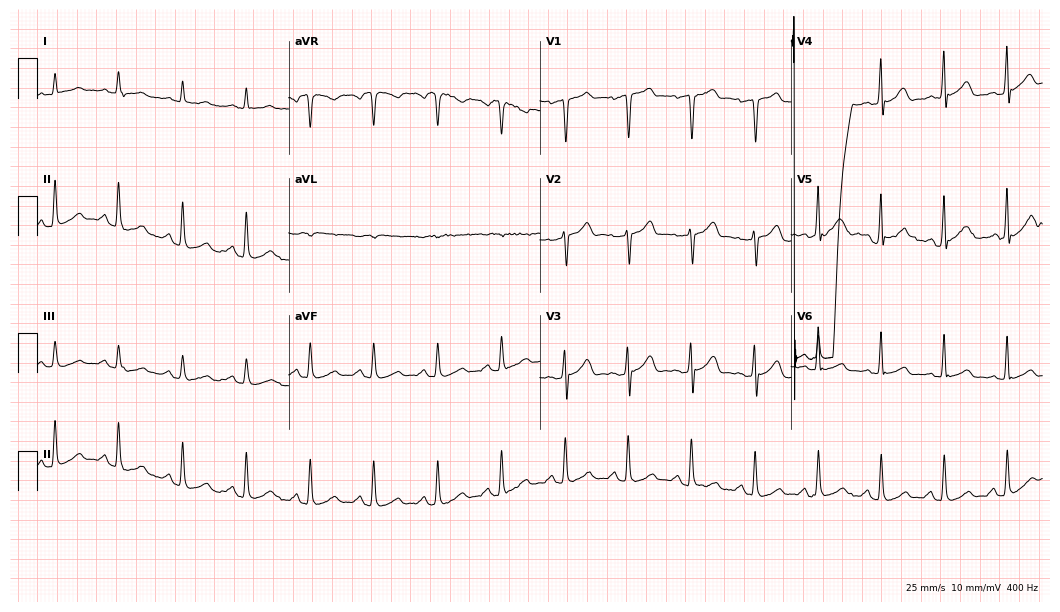
12-lead ECG (10.2-second recording at 400 Hz) from a man, 67 years old. Screened for six findings — first-degree AV block, right bundle branch block (RBBB), left bundle branch block (LBBB), sinus bradycardia, atrial fibrillation (AF), sinus tachycardia — none is recorded.